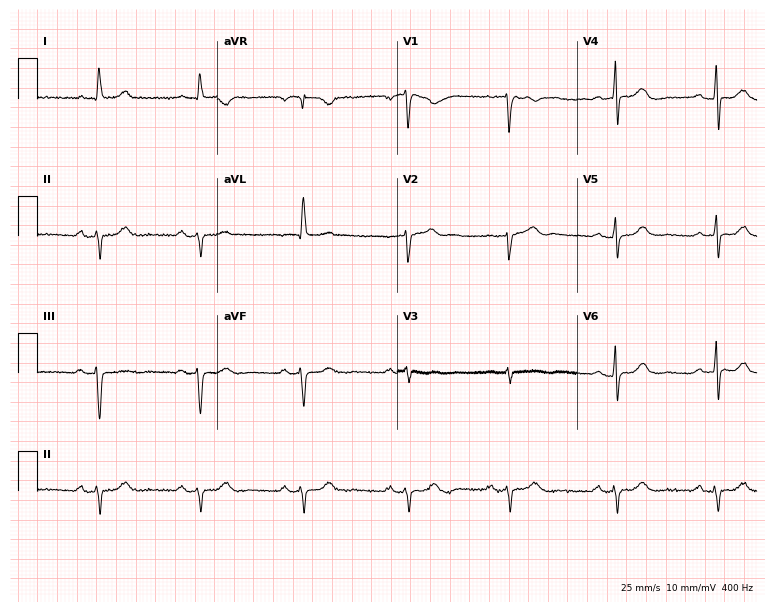
12-lead ECG from a woman, 83 years old. Screened for six findings — first-degree AV block, right bundle branch block, left bundle branch block, sinus bradycardia, atrial fibrillation, sinus tachycardia — none is recorded. Only these six findings were labelled.